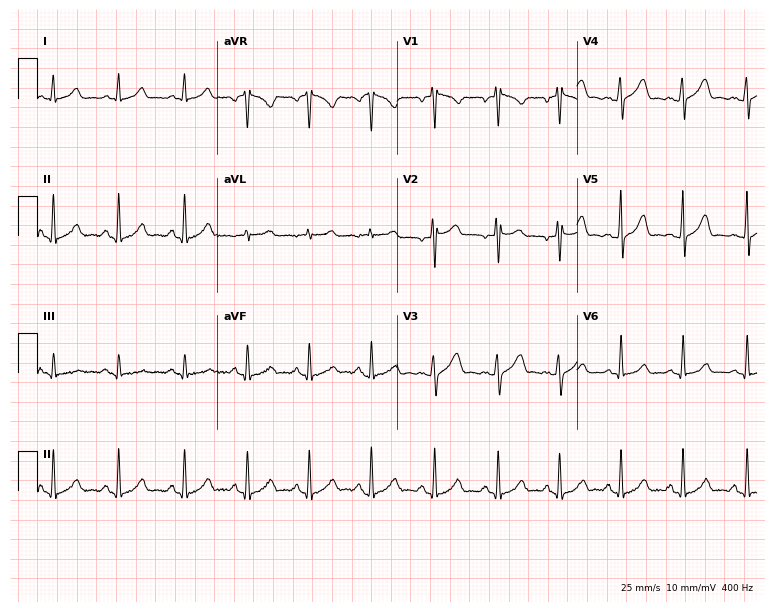
Electrocardiogram (7.3-second recording at 400 Hz), a woman, 30 years old. Overall reading on record: normal ECG.